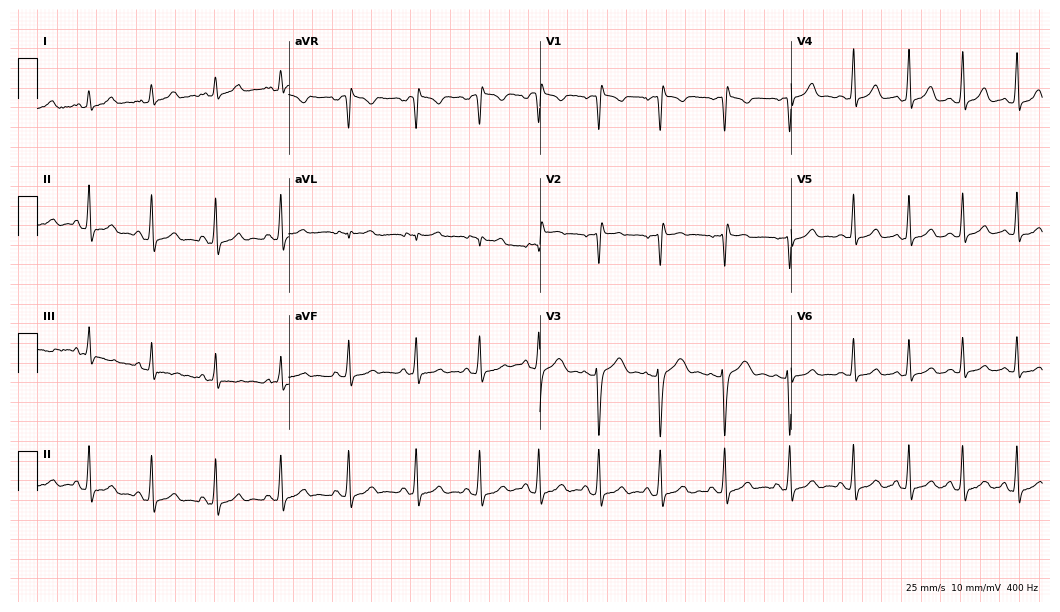
Electrocardiogram (10.2-second recording at 400 Hz), a 17-year-old woman. Of the six screened findings (first-degree AV block, right bundle branch block (RBBB), left bundle branch block (LBBB), sinus bradycardia, atrial fibrillation (AF), sinus tachycardia), none is recorded.